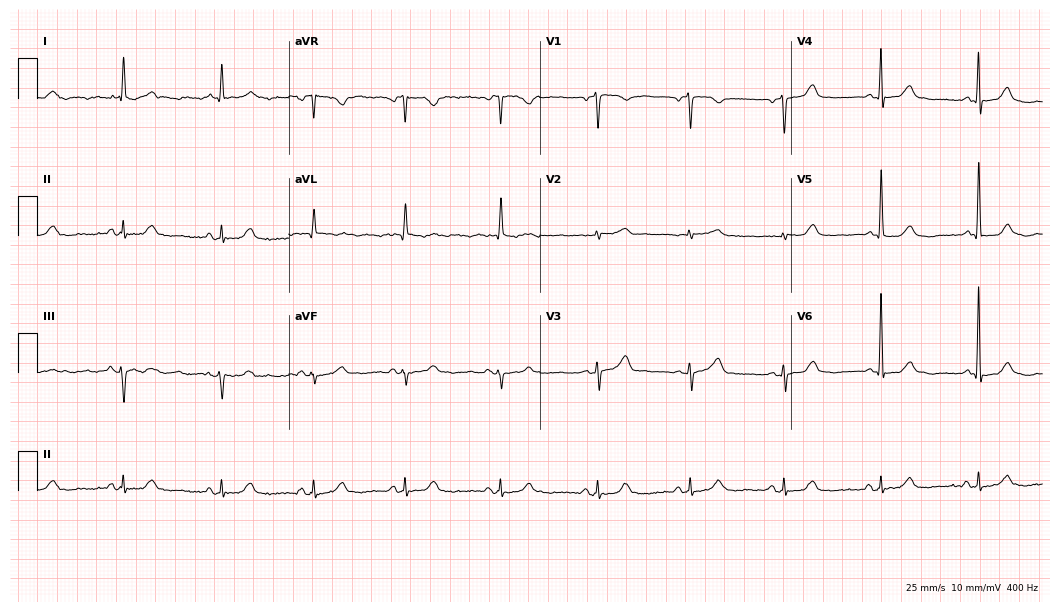
ECG (10.2-second recording at 400 Hz) — a 74-year-old woman. Labelled as a normal ECG.